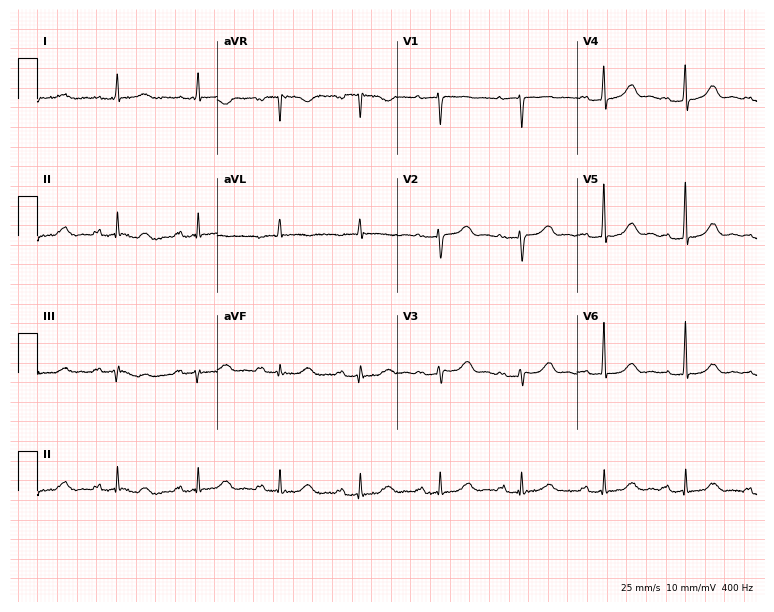
Standard 12-lead ECG recorded from a woman, 71 years old (7.3-second recording at 400 Hz). The tracing shows first-degree AV block.